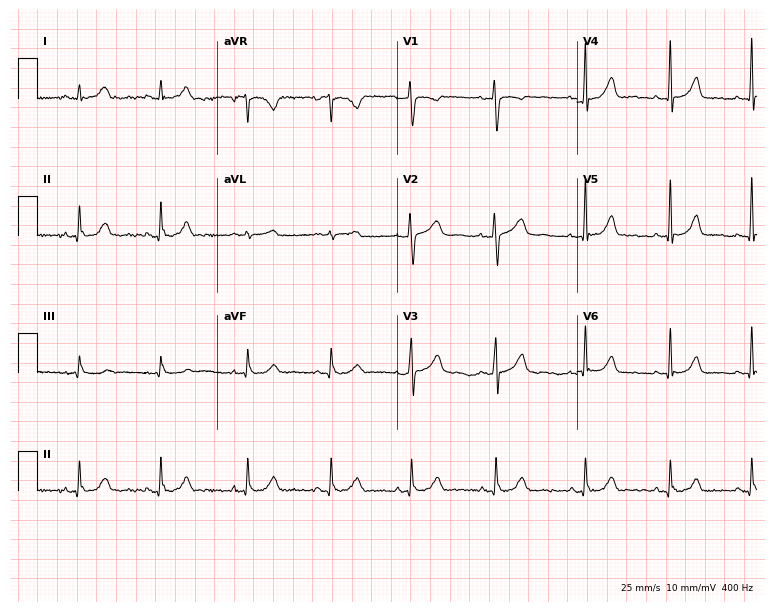
12-lead ECG from a woman, 37 years old (7.3-second recording at 400 Hz). No first-degree AV block, right bundle branch block (RBBB), left bundle branch block (LBBB), sinus bradycardia, atrial fibrillation (AF) or sinus tachycardia recorded for this tracing. Other findings, if any, are not listed.